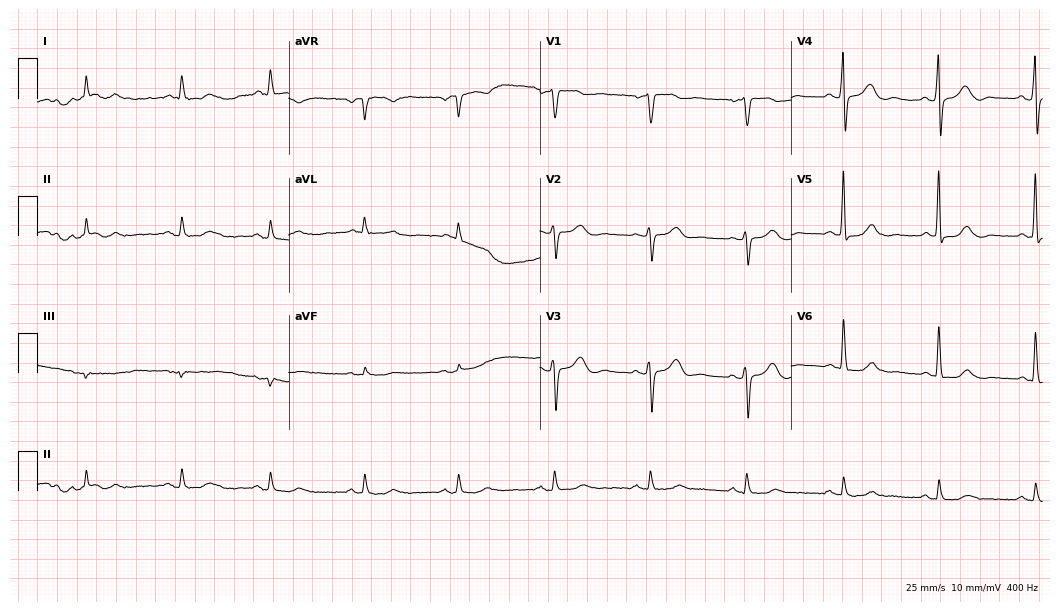
ECG (10.2-second recording at 400 Hz) — a 60-year-old male. Labelled as a normal ECG.